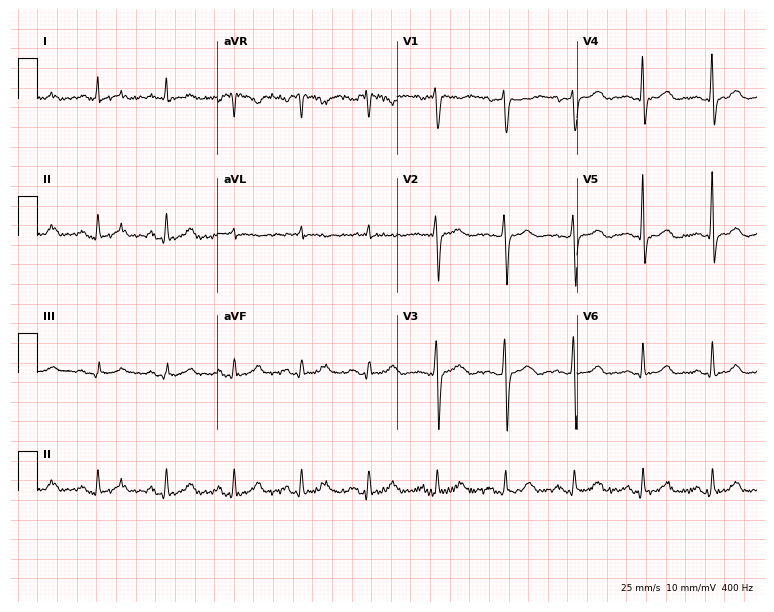
12-lead ECG from a 33-year-old male. No first-degree AV block, right bundle branch block, left bundle branch block, sinus bradycardia, atrial fibrillation or sinus tachycardia recorded for this tracing. Other findings, if any, are not listed.